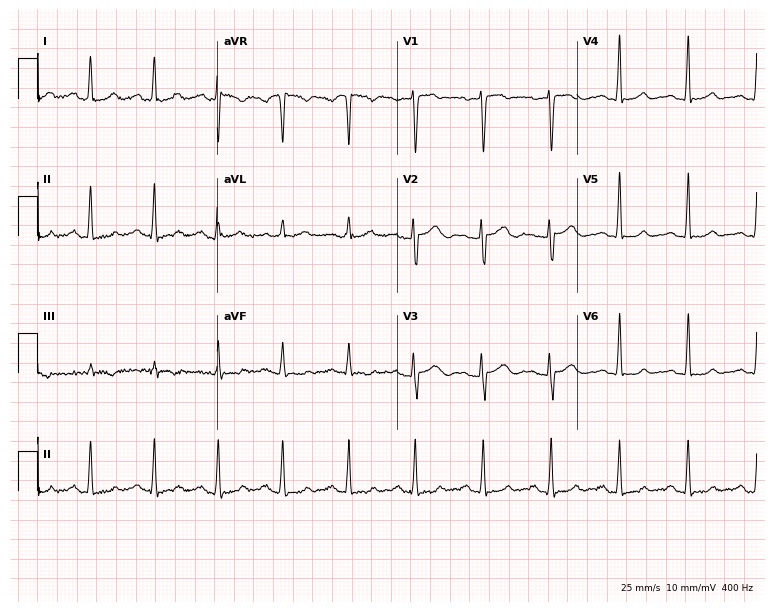
12-lead ECG from a female patient, 28 years old. Screened for six findings — first-degree AV block, right bundle branch block (RBBB), left bundle branch block (LBBB), sinus bradycardia, atrial fibrillation (AF), sinus tachycardia — none is recorded.